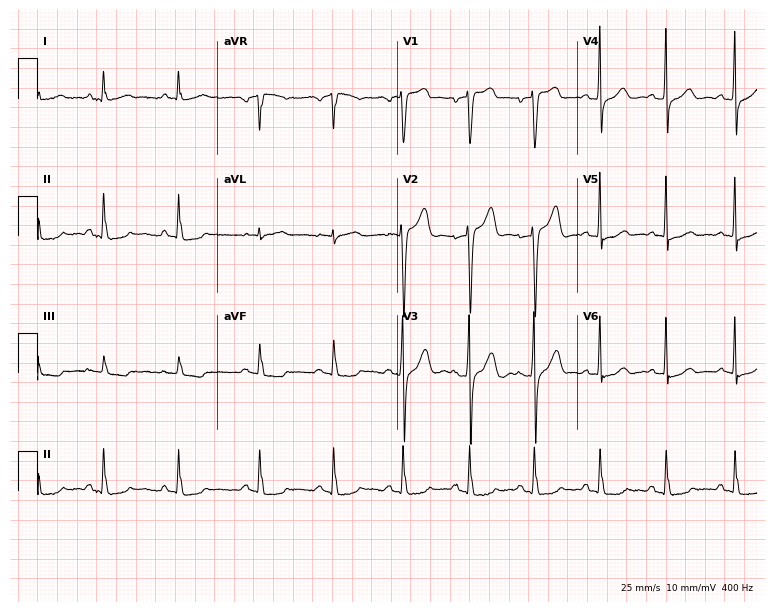
Electrocardiogram (7.3-second recording at 400 Hz), a male patient, 44 years old. Of the six screened findings (first-degree AV block, right bundle branch block, left bundle branch block, sinus bradycardia, atrial fibrillation, sinus tachycardia), none is recorded.